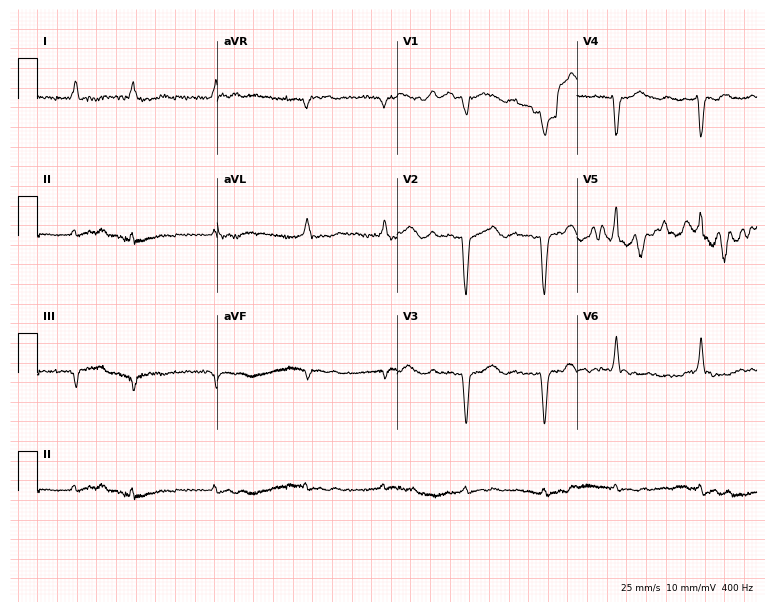
12-lead ECG from an 83-year-old female (7.3-second recording at 400 Hz). No first-degree AV block, right bundle branch block, left bundle branch block, sinus bradycardia, atrial fibrillation or sinus tachycardia recorded for this tracing. Other findings, if any, are not listed.